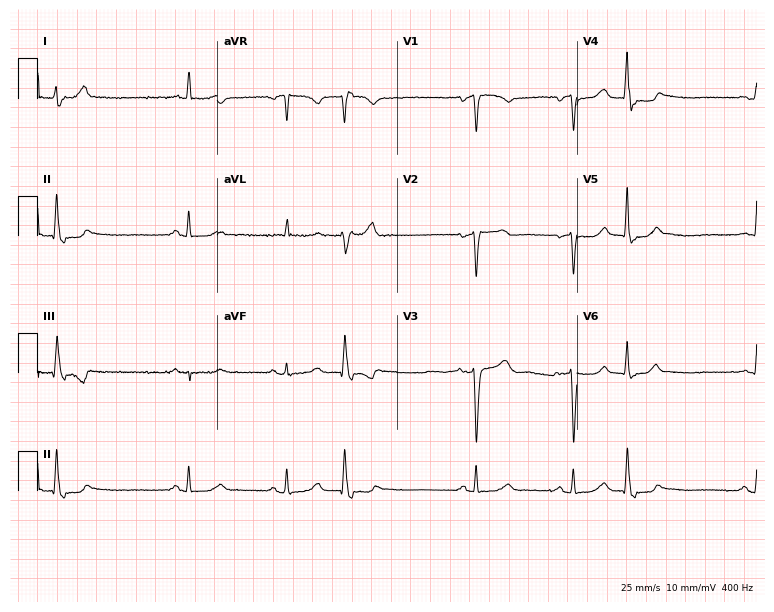
12-lead ECG from a female, 57 years old. No first-degree AV block, right bundle branch block (RBBB), left bundle branch block (LBBB), sinus bradycardia, atrial fibrillation (AF) or sinus tachycardia recorded for this tracing.